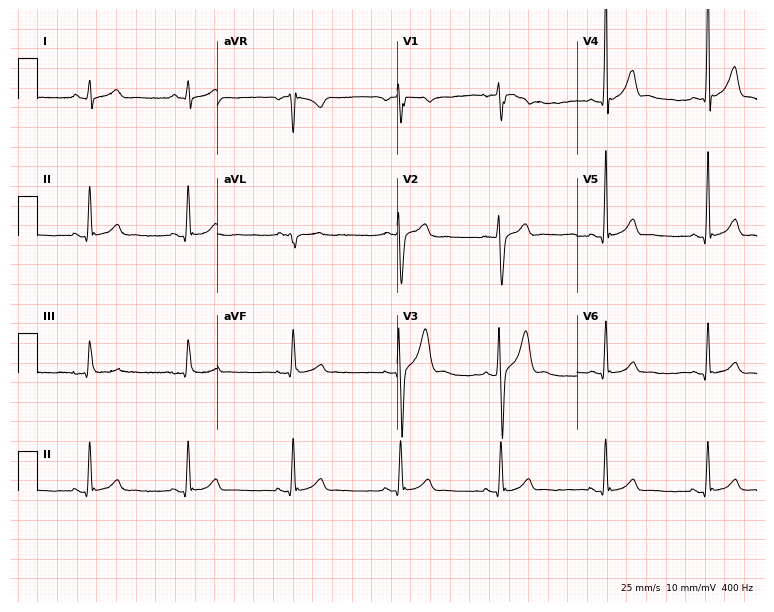
Electrocardiogram (7.3-second recording at 400 Hz), a 33-year-old man. Overall reading on record: normal ECG.